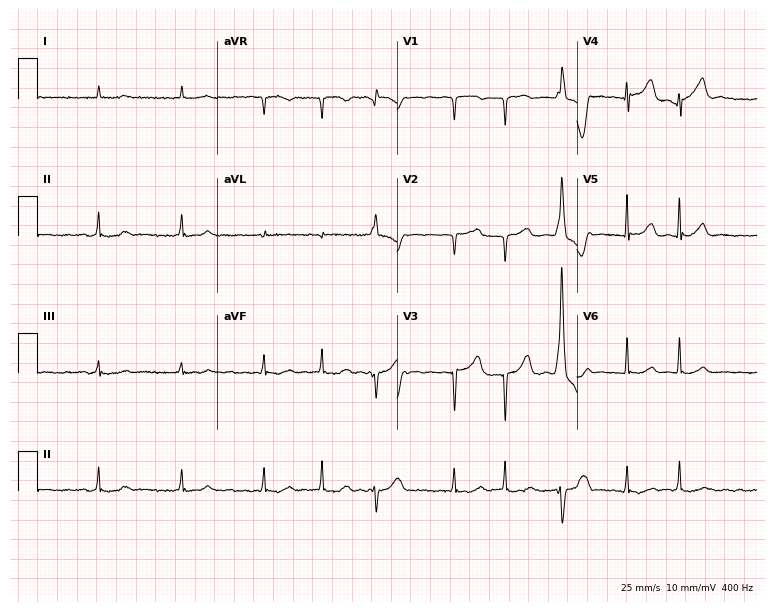
Standard 12-lead ECG recorded from a male patient, 84 years old (7.3-second recording at 400 Hz). The tracing shows atrial fibrillation.